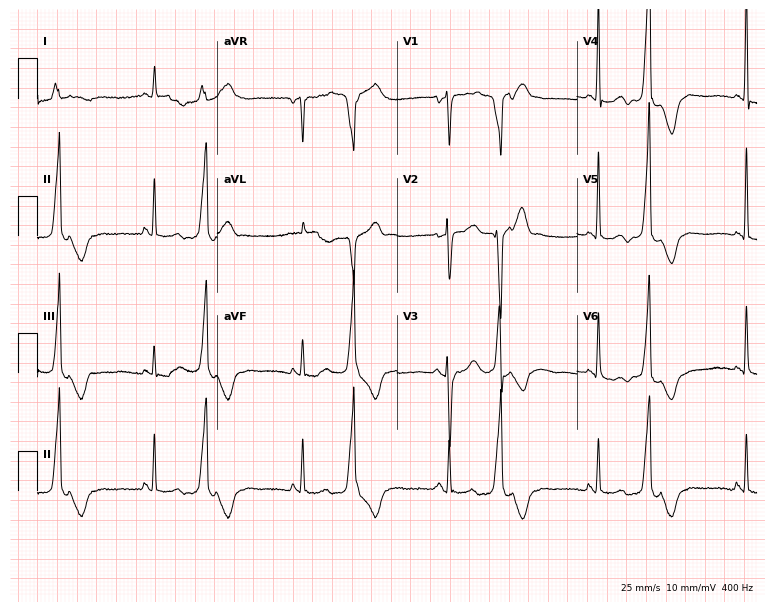
ECG (7.3-second recording at 400 Hz) — a 64-year-old female patient. Screened for six findings — first-degree AV block, right bundle branch block, left bundle branch block, sinus bradycardia, atrial fibrillation, sinus tachycardia — none is recorded.